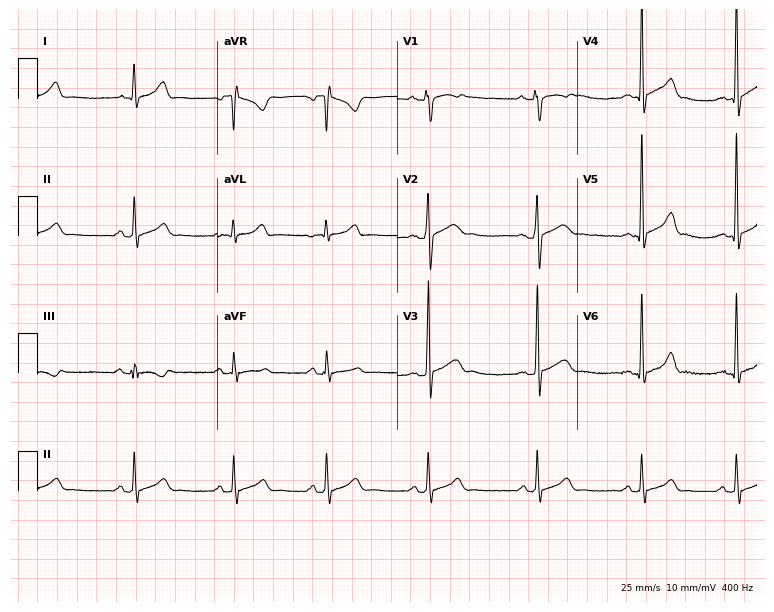
12-lead ECG (7.3-second recording at 400 Hz) from a male, 18 years old. Labelled as a normal ECG.